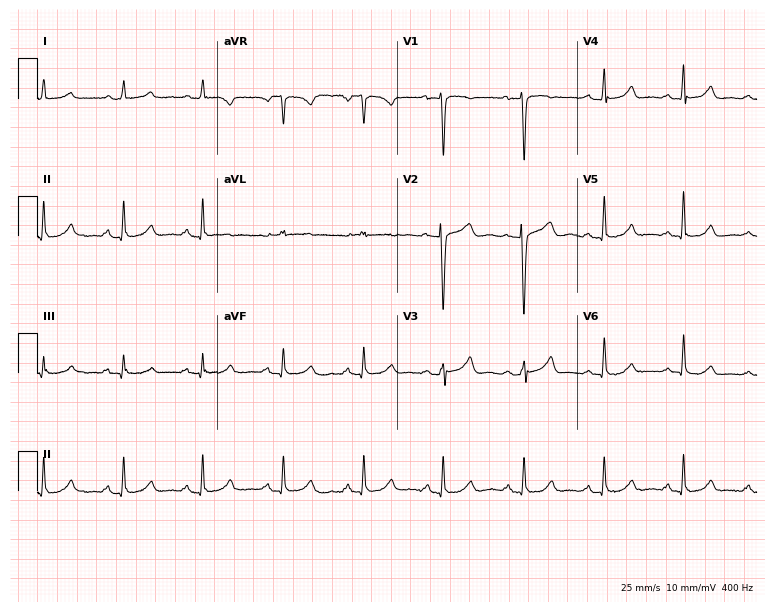
Standard 12-lead ECG recorded from a 50-year-old female (7.3-second recording at 400 Hz). None of these six findings is recorded: first-degree AV block, right bundle branch block (RBBB), left bundle branch block (LBBB), sinus bradycardia, atrial fibrillation (AF), sinus tachycardia. Only these six findings were labelled.